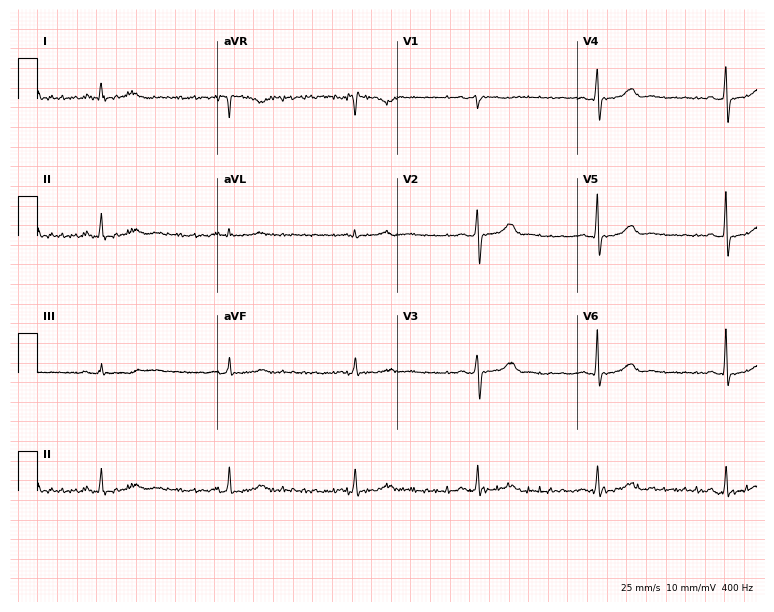
Electrocardiogram (7.3-second recording at 400 Hz), a 72-year-old woman. Interpretation includes sinus bradycardia (a sinus rate of 50 beats per minute or less).